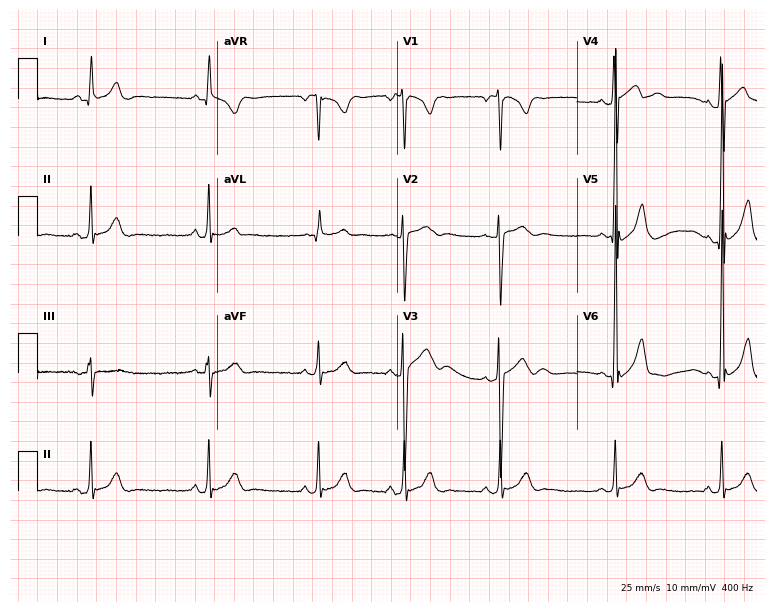
12-lead ECG from a male patient, 17 years old. Screened for six findings — first-degree AV block, right bundle branch block, left bundle branch block, sinus bradycardia, atrial fibrillation, sinus tachycardia — none is recorded. Other findings, if any, are not listed.